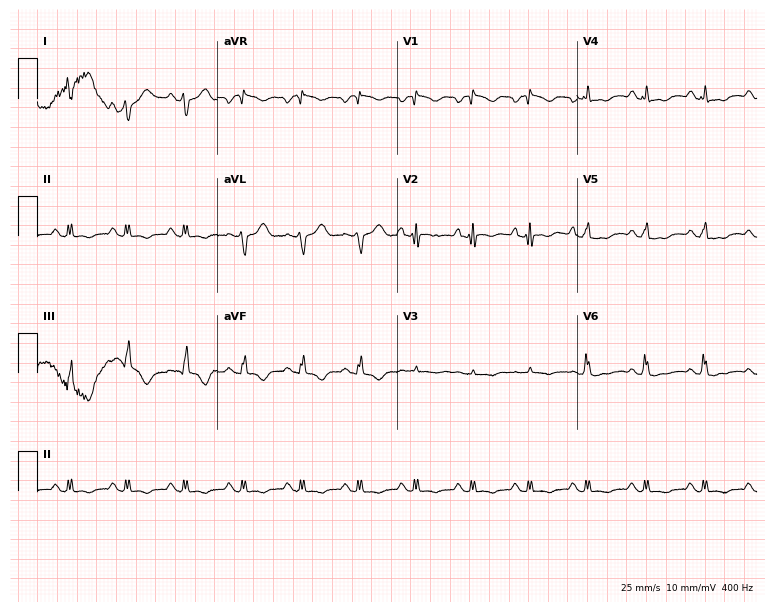
Resting 12-lead electrocardiogram. Patient: a female, 27 years old. The tracing shows sinus tachycardia (a sinus rate of 100 beats per minute or more).